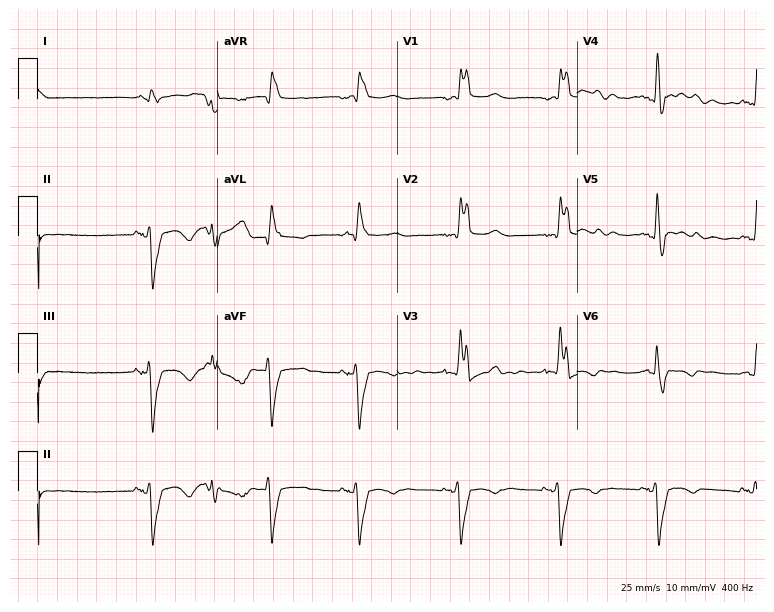
12-lead ECG (7.3-second recording at 400 Hz) from a 59-year-old male patient. Findings include right bundle branch block (RBBB).